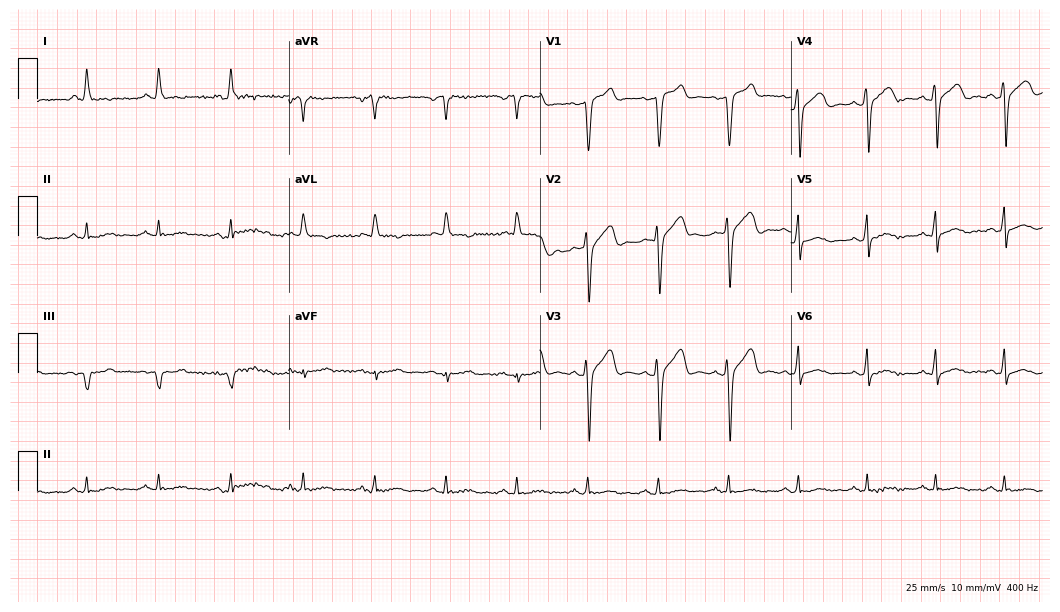
Electrocardiogram, a male, 63 years old. Of the six screened findings (first-degree AV block, right bundle branch block, left bundle branch block, sinus bradycardia, atrial fibrillation, sinus tachycardia), none is recorded. Only these six findings were labelled.